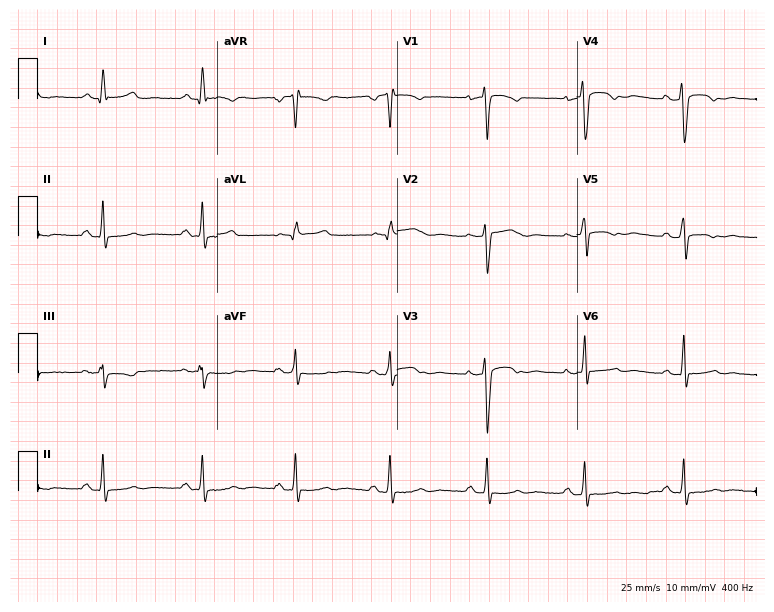
12-lead ECG (7.3-second recording at 400 Hz) from a 56-year-old woman. Screened for six findings — first-degree AV block, right bundle branch block, left bundle branch block, sinus bradycardia, atrial fibrillation, sinus tachycardia — none is recorded.